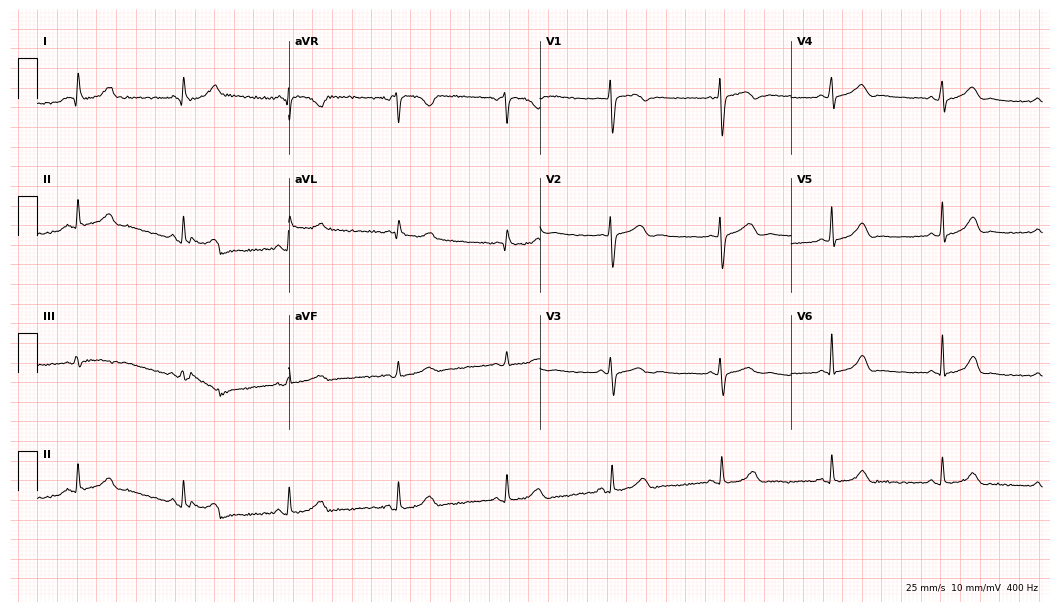
ECG (10.2-second recording at 400 Hz) — a woman, 36 years old. Labelled as a normal ECG.